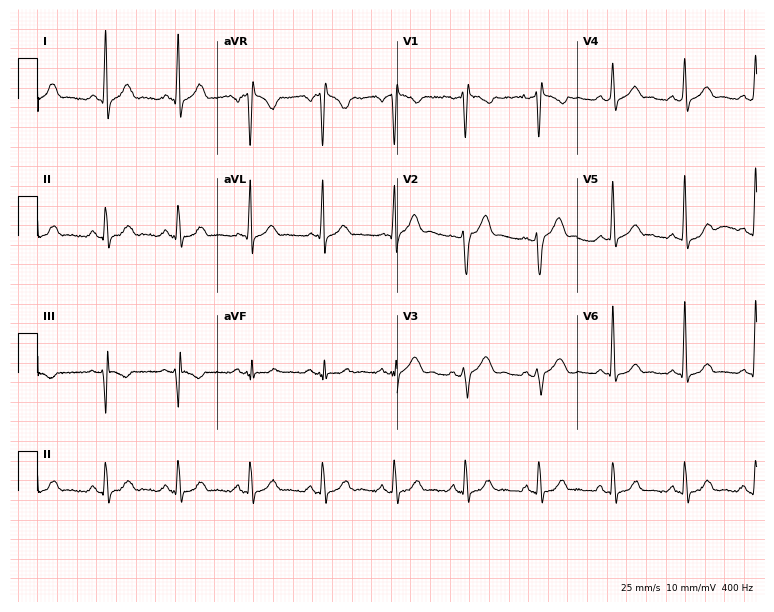
ECG (7.3-second recording at 400 Hz) — a man, 38 years old. Screened for six findings — first-degree AV block, right bundle branch block (RBBB), left bundle branch block (LBBB), sinus bradycardia, atrial fibrillation (AF), sinus tachycardia — none is recorded.